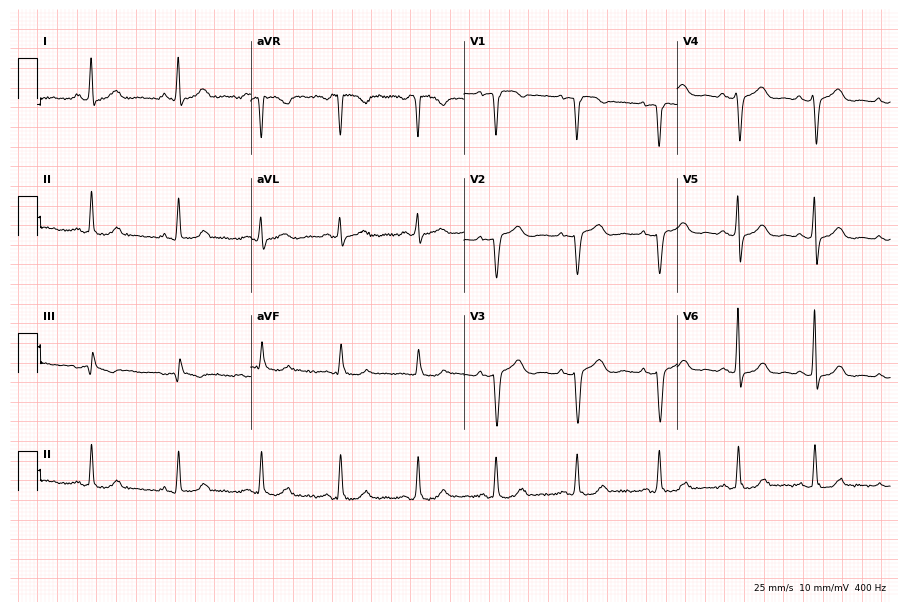
Resting 12-lead electrocardiogram. Patient: a female, 61 years old. None of these six findings is recorded: first-degree AV block, right bundle branch block (RBBB), left bundle branch block (LBBB), sinus bradycardia, atrial fibrillation (AF), sinus tachycardia.